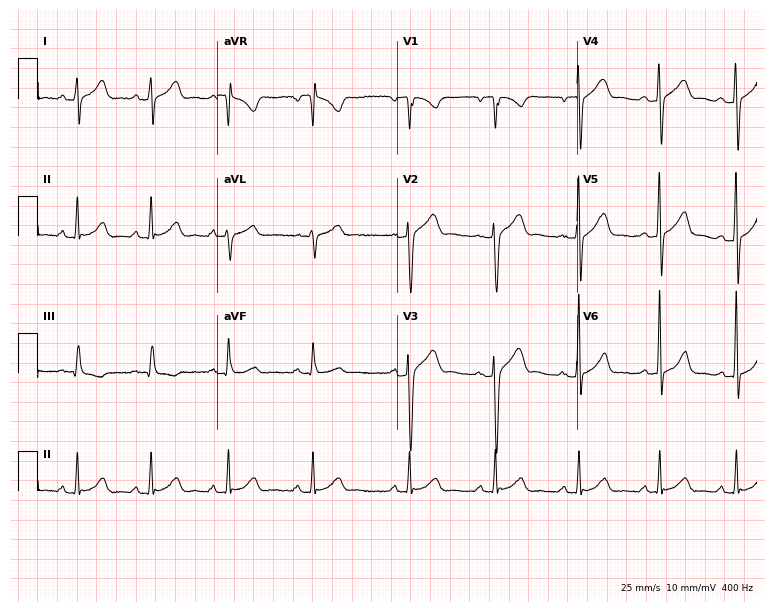
Electrocardiogram (7.3-second recording at 400 Hz), a 23-year-old man. Overall reading on record: normal ECG.